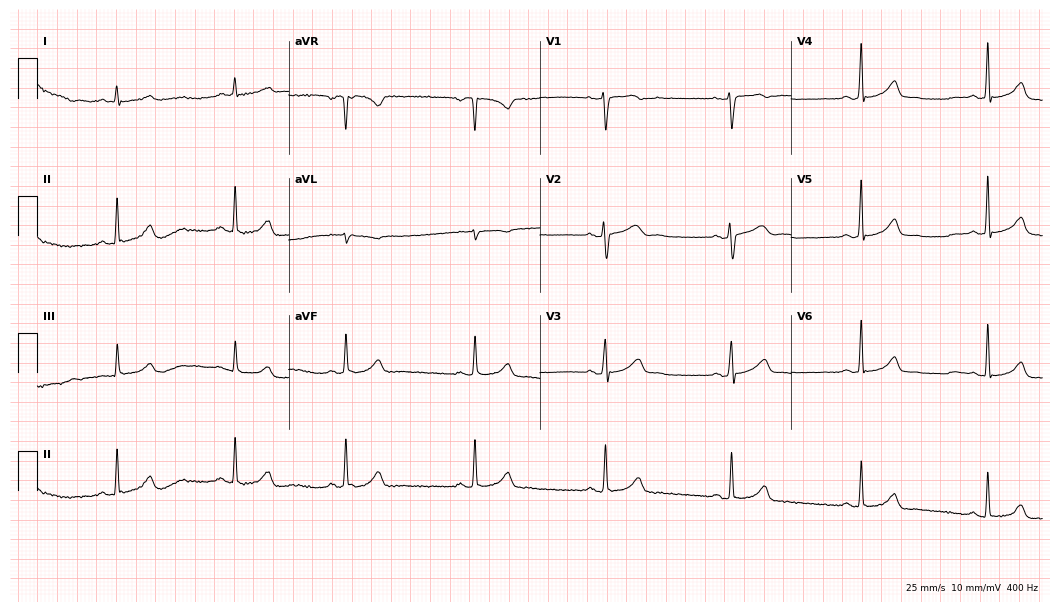
12-lead ECG (10.2-second recording at 400 Hz) from a woman, 41 years old. Screened for six findings — first-degree AV block, right bundle branch block (RBBB), left bundle branch block (LBBB), sinus bradycardia, atrial fibrillation (AF), sinus tachycardia — none is recorded. Only these six findings were labelled.